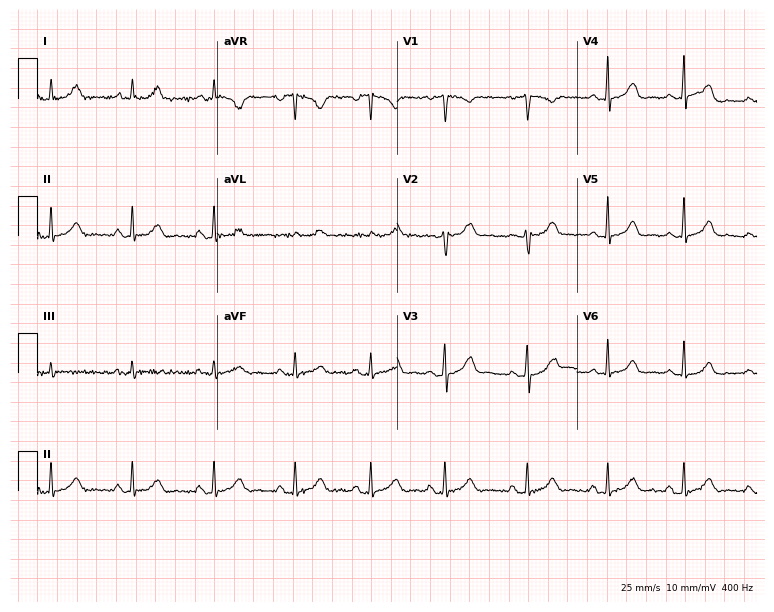
Resting 12-lead electrocardiogram (7.3-second recording at 400 Hz). Patient: a woman, 36 years old. None of these six findings is recorded: first-degree AV block, right bundle branch block, left bundle branch block, sinus bradycardia, atrial fibrillation, sinus tachycardia. Findings outside these six are not listed.